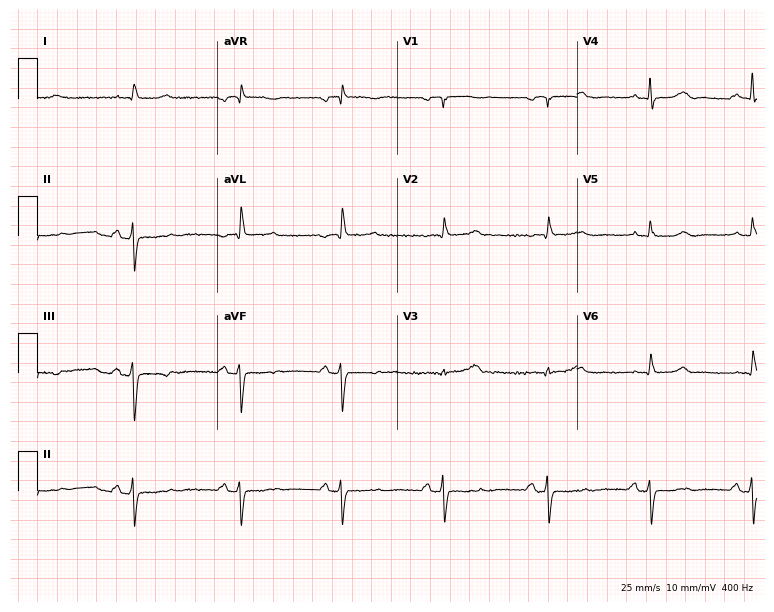
ECG (7.3-second recording at 400 Hz) — a 77-year-old female patient. Screened for six findings — first-degree AV block, right bundle branch block, left bundle branch block, sinus bradycardia, atrial fibrillation, sinus tachycardia — none is recorded. Other findings, if any, are not listed.